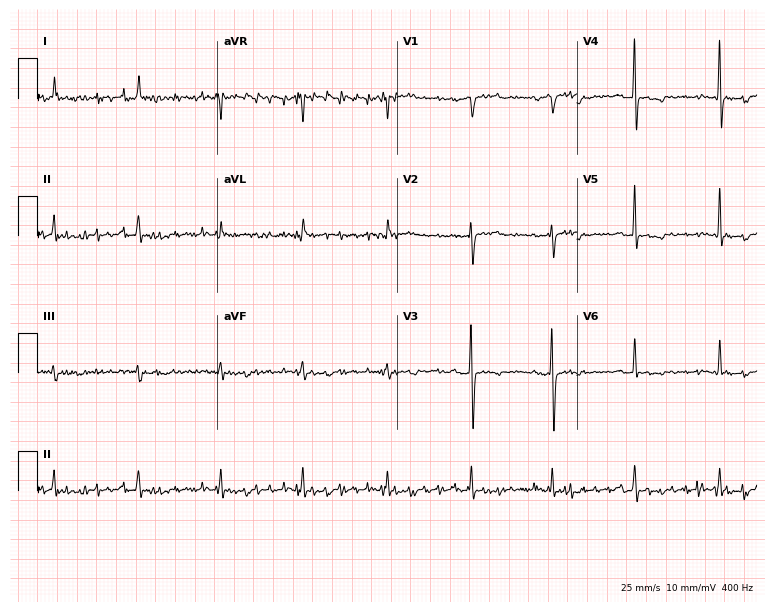
Electrocardiogram (7.3-second recording at 400 Hz), a 55-year-old male. Of the six screened findings (first-degree AV block, right bundle branch block, left bundle branch block, sinus bradycardia, atrial fibrillation, sinus tachycardia), none is recorded.